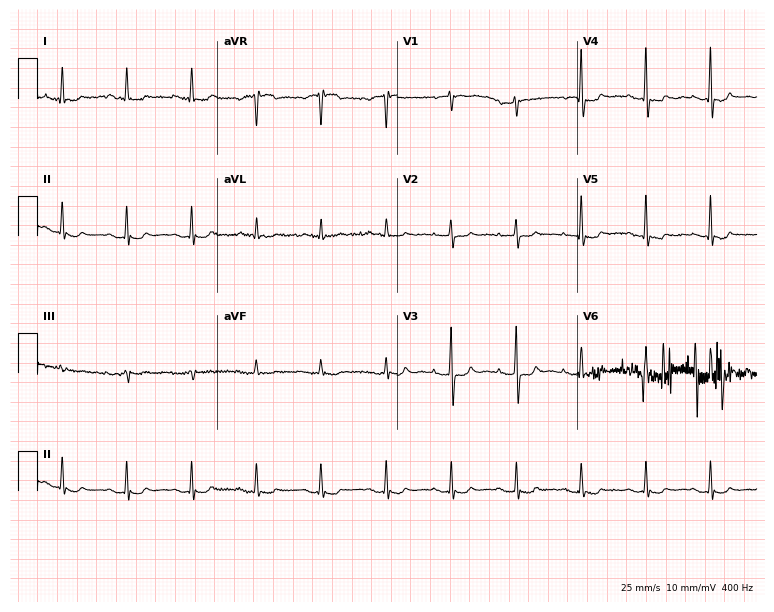
12-lead ECG from a 78-year-old woman (7.3-second recording at 400 Hz). No first-degree AV block, right bundle branch block (RBBB), left bundle branch block (LBBB), sinus bradycardia, atrial fibrillation (AF) or sinus tachycardia recorded for this tracing. Other findings, if any, are not listed.